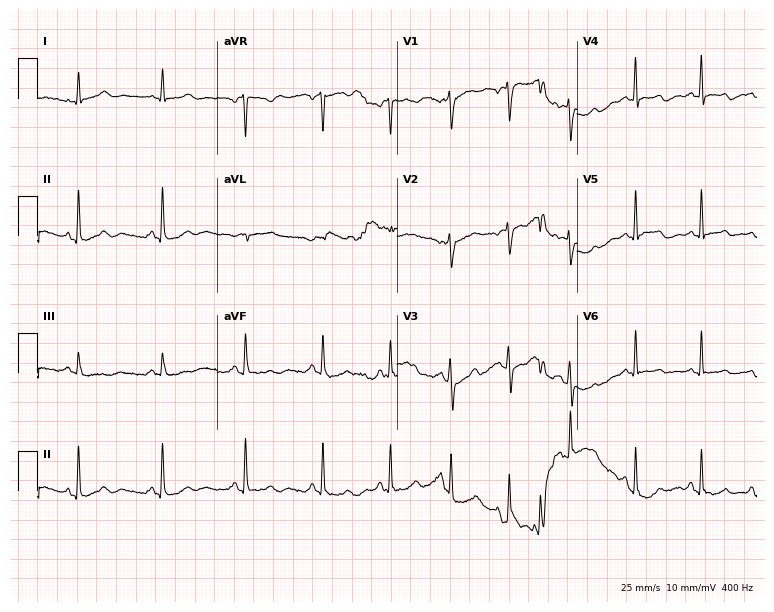
Standard 12-lead ECG recorded from a female patient, 60 years old (7.3-second recording at 400 Hz). Read as a normal ECG.